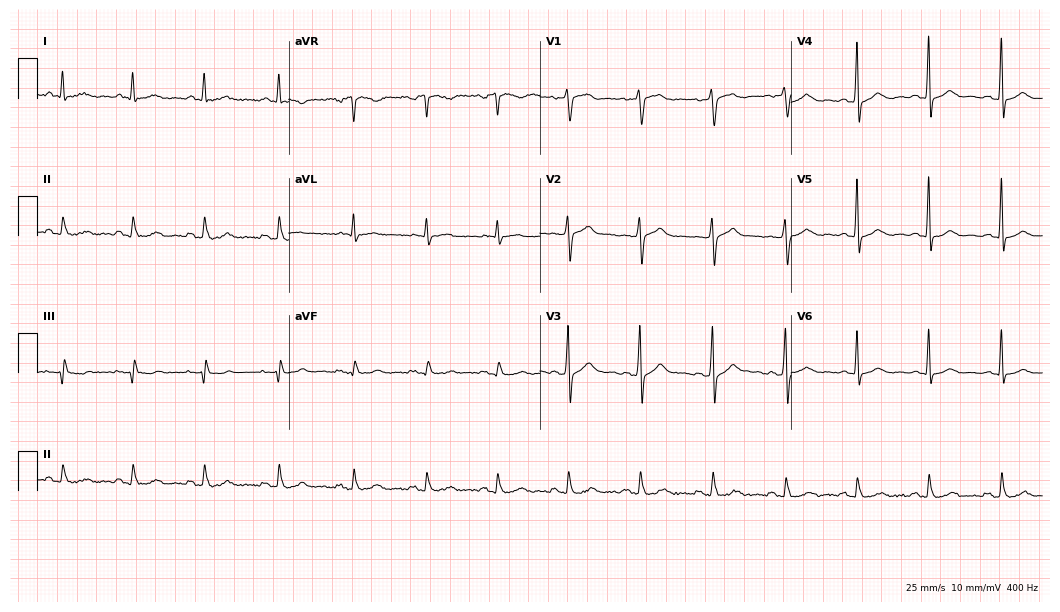
Electrocardiogram (10.2-second recording at 400 Hz), a 64-year-old male patient. Of the six screened findings (first-degree AV block, right bundle branch block, left bundle branch block, sinus bradycardia, atrial fibrillation, sinus tachycardia), none is recorded.